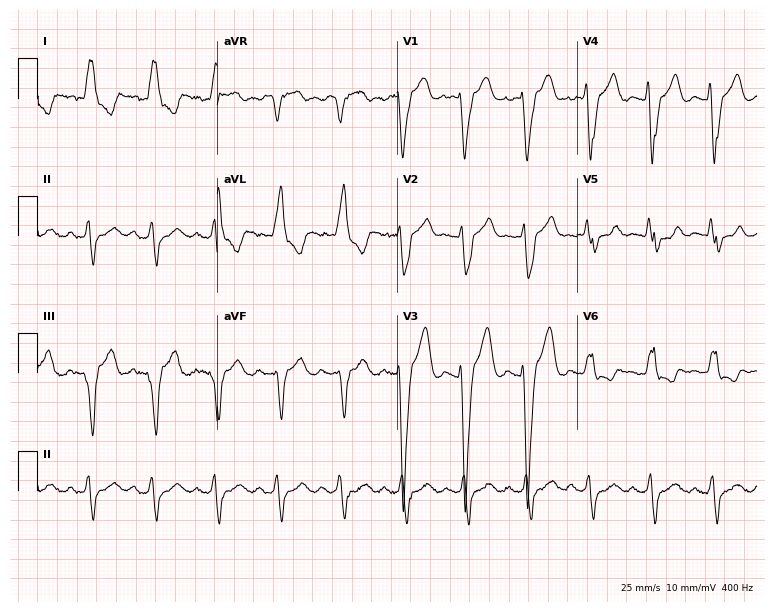
Standard 12-lead ECG recorded from an 84-year-old female patient (7.3-second recording at 400 Hz). The tracing shows left bundle branch block (LBBB).